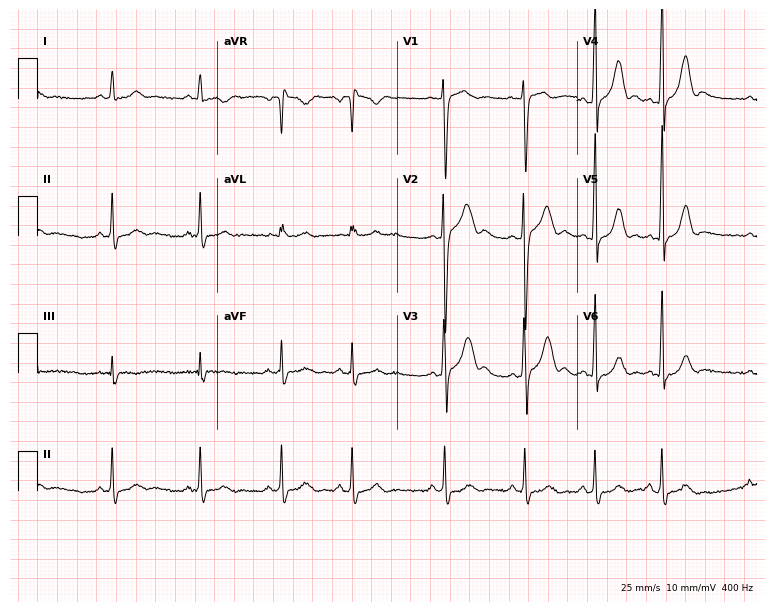
Standard 12-lead ECG recorded from a man, 22 years old. Read as a normal ECG.